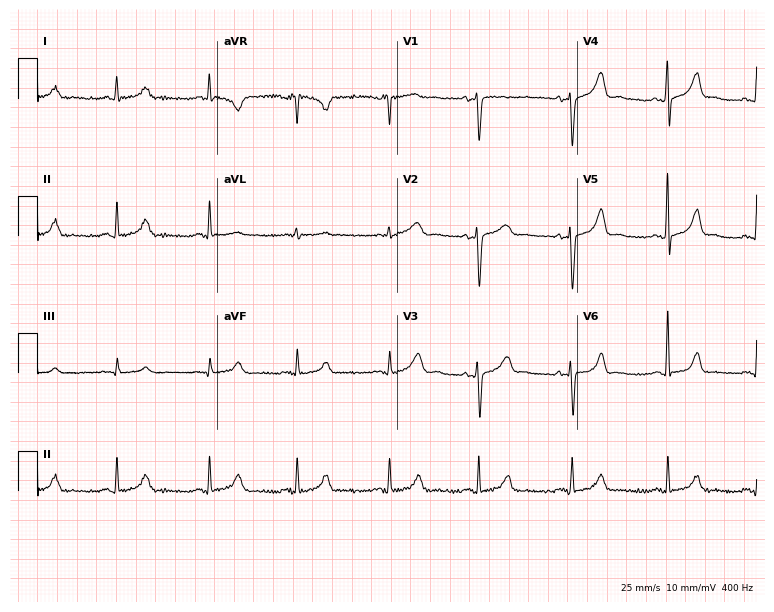
Resting 12-lead electrocardiogram. Patient: a 47-year-old woman. Read as a normal ECG.